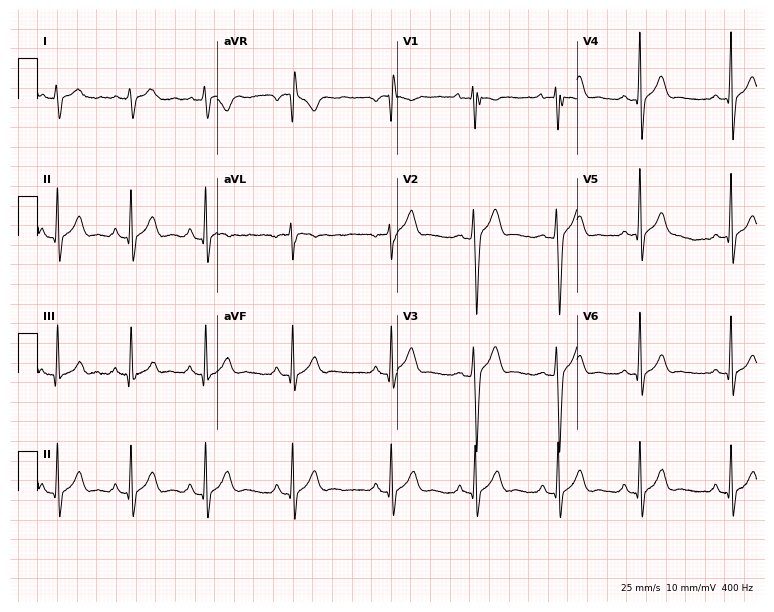
12-lead ECG (7.3-second recording at 400 Hz) from a man, 25 years old. Labelled as a normal ECG.